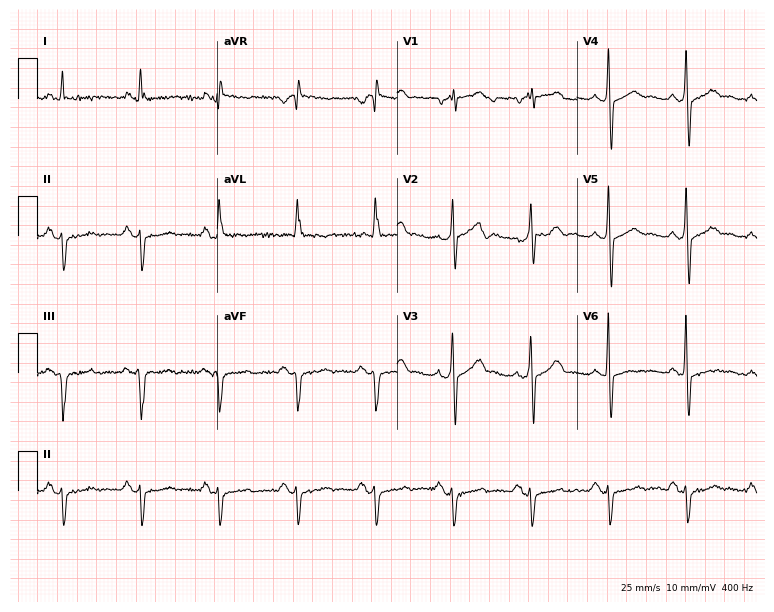
12-lead ECG from a 72-year-old man. No first-degree AV block, right bundle branch block, left bundle branch block, sinus bradycardia, atrial fibrillation or sinus tachycardia recorded for this tracing.